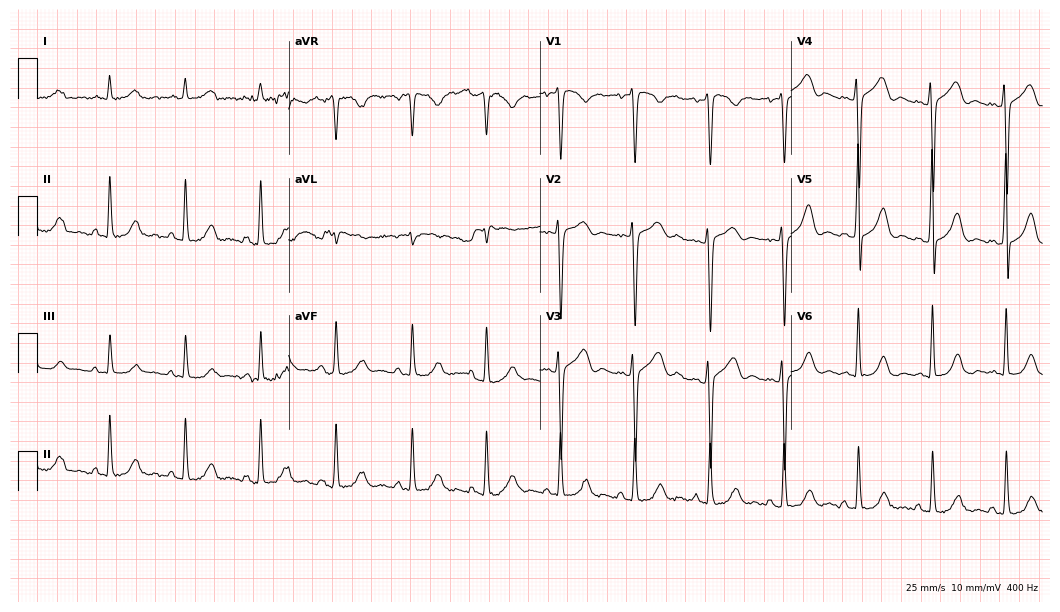
12-lead ECG (10.2-second recording at 400 Hz) from a 38-year-old male. Screened for six findings — first-degree AV block, right bundle branch block (RBBB), left bundle branch block (LBBB), sinus bradycardia, atrial fibrillation (AF), sinus tachycardia — none is recorded.